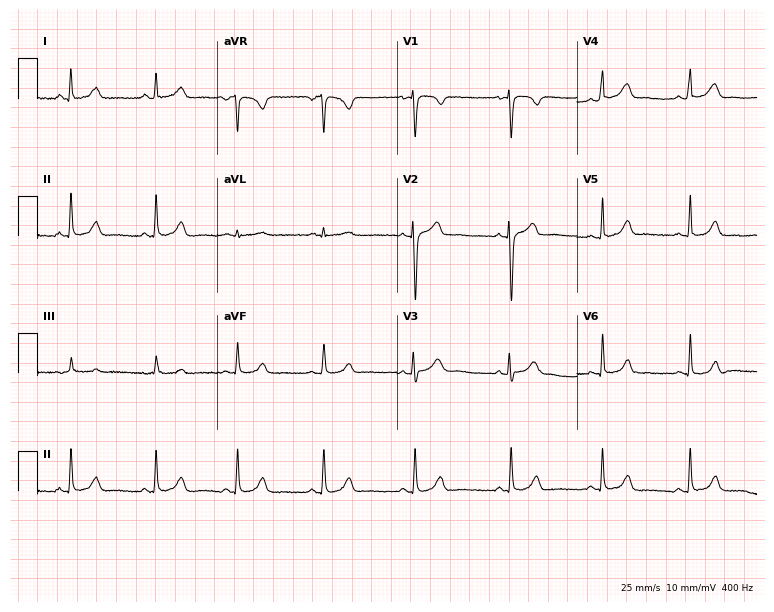
Resting 12-lead electrocardiogram (7.3-second recording at 400 Hz). Patient: a 29-year-old woman. Read as a normal ECG.